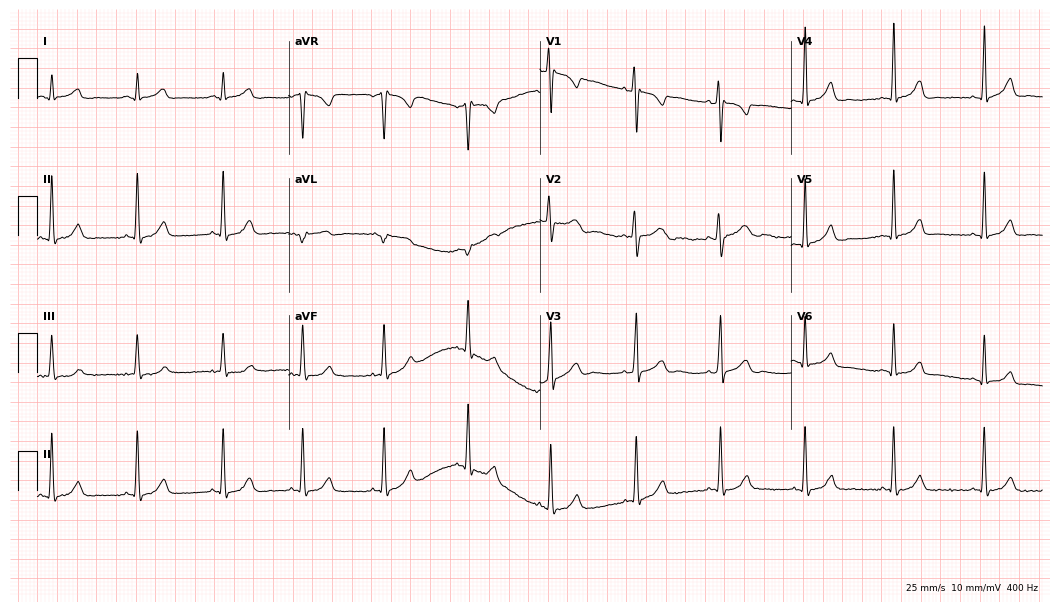
12-lead ECG from a female patient, 24 years old. Recorded interpretation: within normal limits.